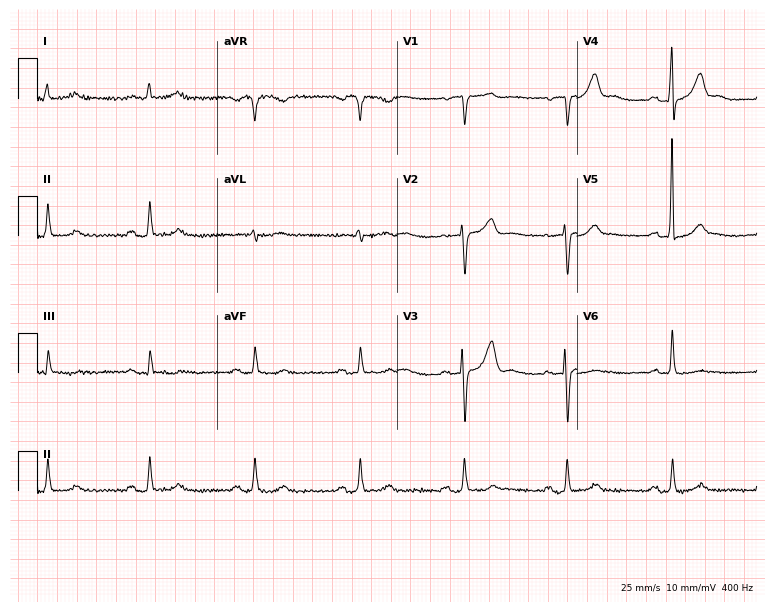
12-lead ECG from a man, 75 years old. Labelled as a normal ECG.